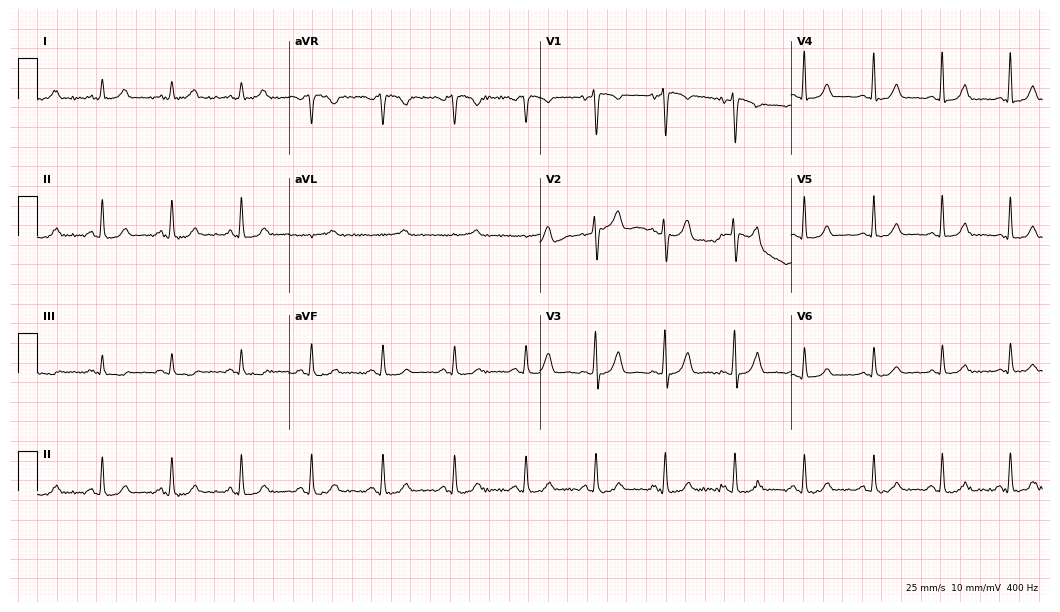
12-lead ECG from a 43-year-old female patient (10.2-second recording at 400 Hz). Recorded interpretation: within normal limits.